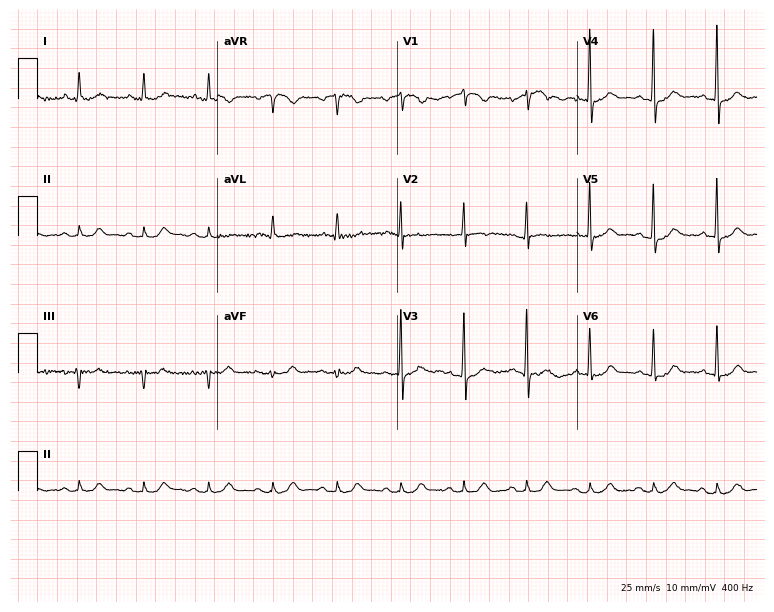
Resting 12-lead electrocardiogram (7.3-second recording at 400 Hz). Patient: a 62-year-old man. None of these six findings is recorded: first-degree AV block, right bundle branch block (RBBB), left bundle branch block (LBBB), sinus bradycardia, atrial fibrillation (AF), sinus tachycardia.